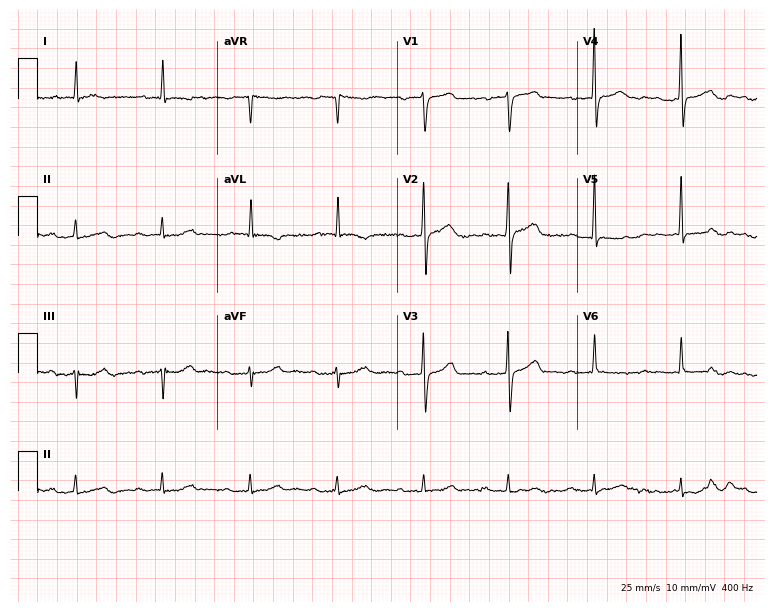
12-lead ECG (7.3-second recording at 400 Hz) from a 76-year-old male patient. Findings include first-degree AV block.